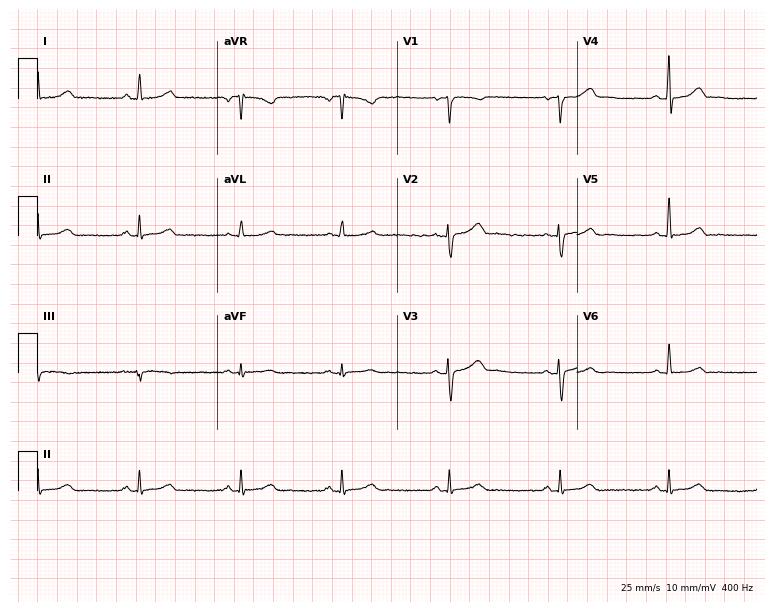
ECG (7.3-second recording at 400 Hz) — a 40-year-old female patient. Screened for six findings — first-degree AV block, right bundle branch block (RBBB), left bundle branch block (LBBB), sinus bradycardia, atrial fibrillation (AF), sinus tachycardia — none is recorded.